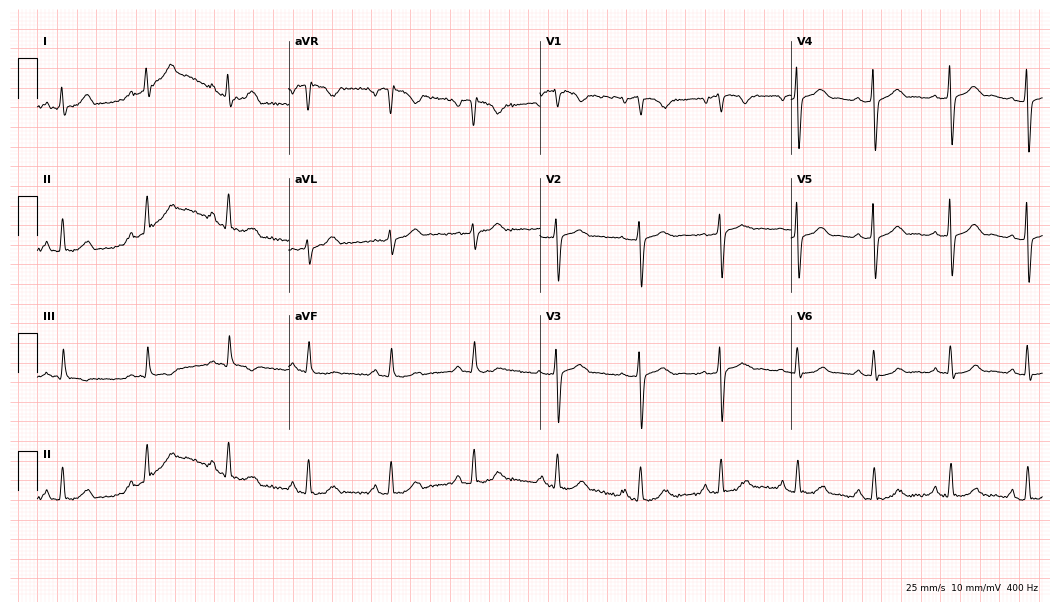
12-lead ECG from a female patient, 37 years old. Recorded interpretation: within normal limits.